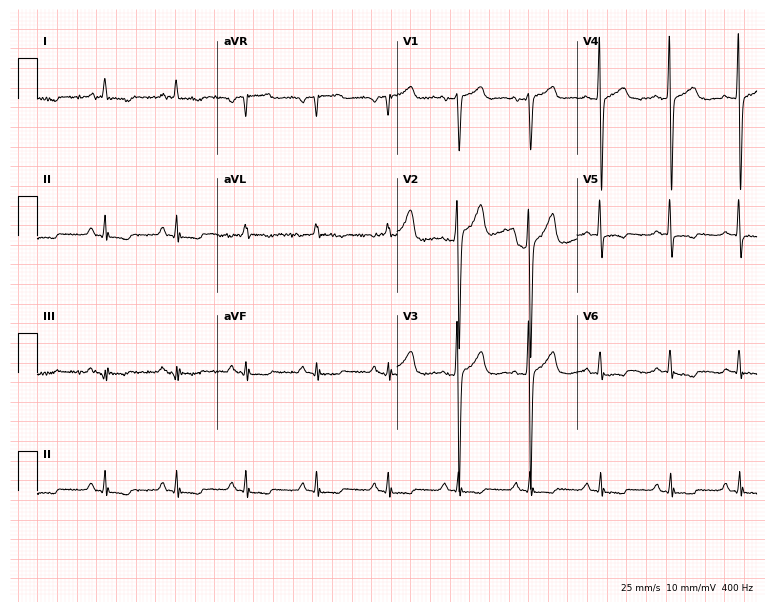
ECG (7.3-second recording at 400 Hz) — a male patient, 51 years old. Screened for six findings — first-degree AV block, right bundle branch block, left bundle branch block, sinus bradycardia, atrial fibrillation, sinus tachycardia — none is recorded. Only these six findings were labelled.